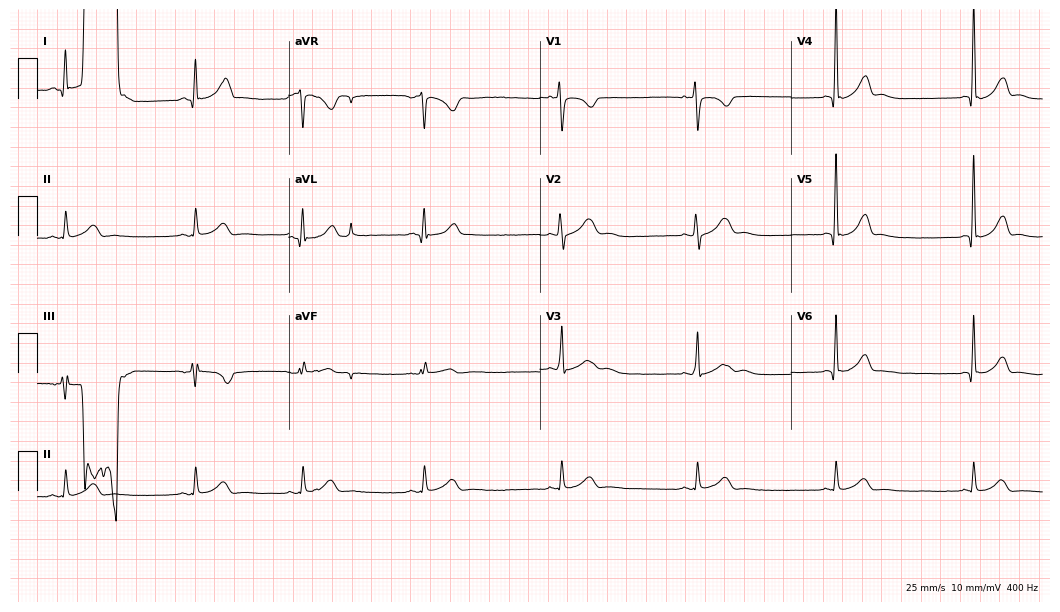
12-lead ECG from a man, 19 years old (10.2-second recording at 400 Hz). No first-degree AV block, right bundle branch block, left bundle branch block, sinus bradycardia, atrial fibrillation or sinus tachycardia recorded for this tracing. Only these six findings were labelled.